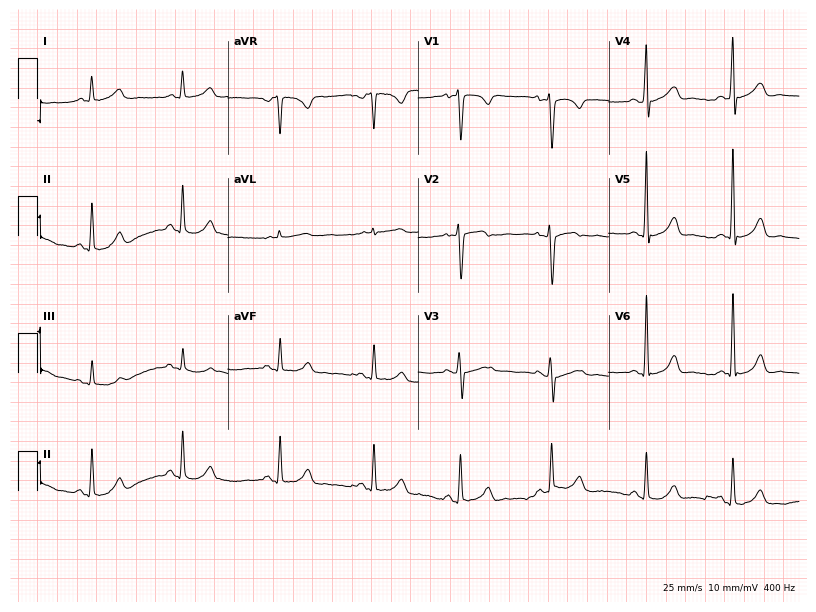
12-lead ECG from a female, 29 years old (7.8-second recording at 400 Hz). No first-degree AV block, right bundle branch block, left bundle branch block, sinus bradycardia, atrial fibrillation or sinus tachycardia recorded for this tracing. Only these six findings were labelled.